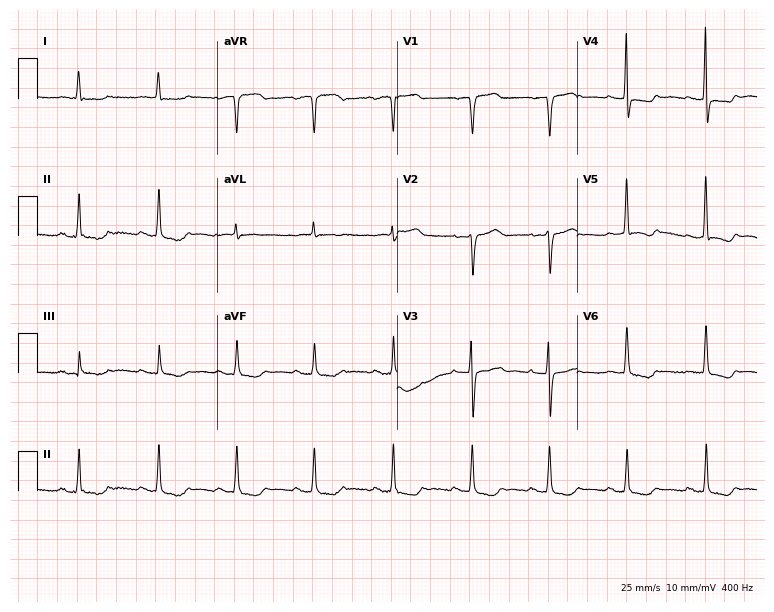
Resting 12-lead electrocardiogram (7.3-second recording at 400 Hz). Patient: a 72-year-old female. None of these six findings is recorded: first-degree AV block, right bundle branch block, left bundle branch block, sinus bradycardia, atrial fibrillation, sinus tachycardia. Other findings, if any, are not listed.